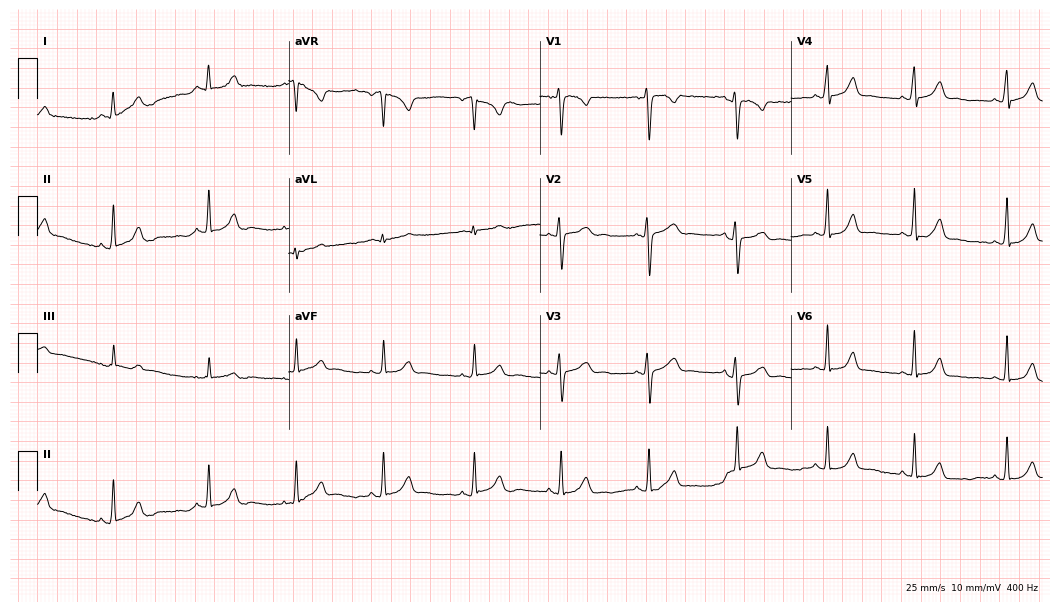
Resting 12-lead electrocardiogram (10.2-second recording at 400 Hz). Patient: a 21-year-old female. Read as a normal ECG.